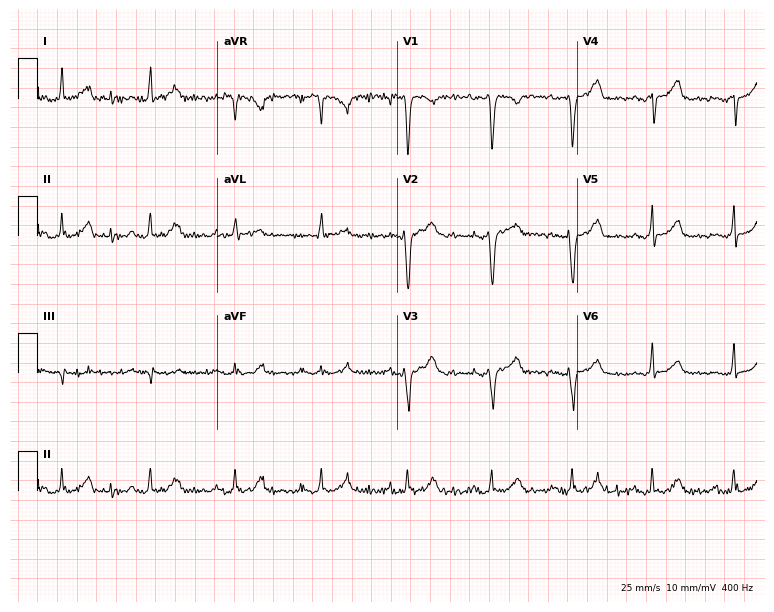
ECG (7.3-second recording at 400 Hz) — a 32-year-old female. Screened for six findings — first-degree AV block, right bundle branch block, left bundle branch block, sinus bradycardia, atrial fibrillation, sinus tachycardia — none is recorded.